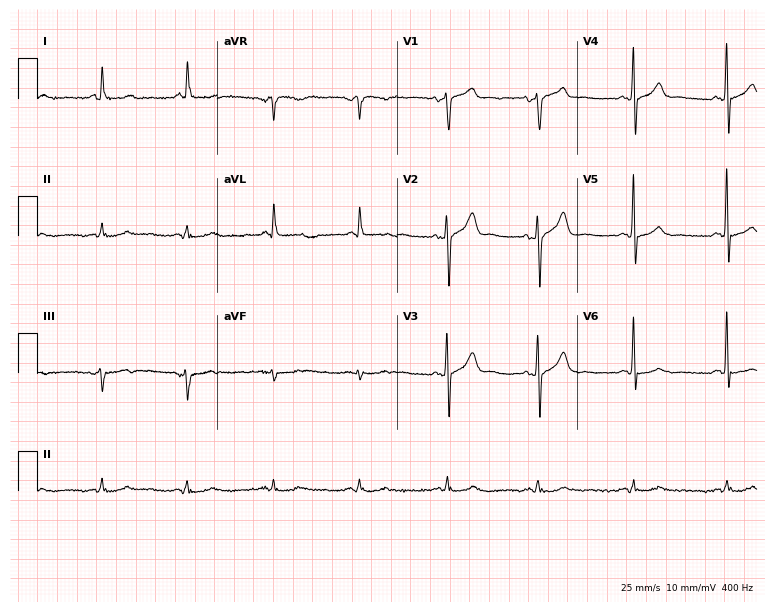
12-lead ECG (7.3-second recording at 400 Hz) from a 62-year-old male. Labelled as a normal ECG.